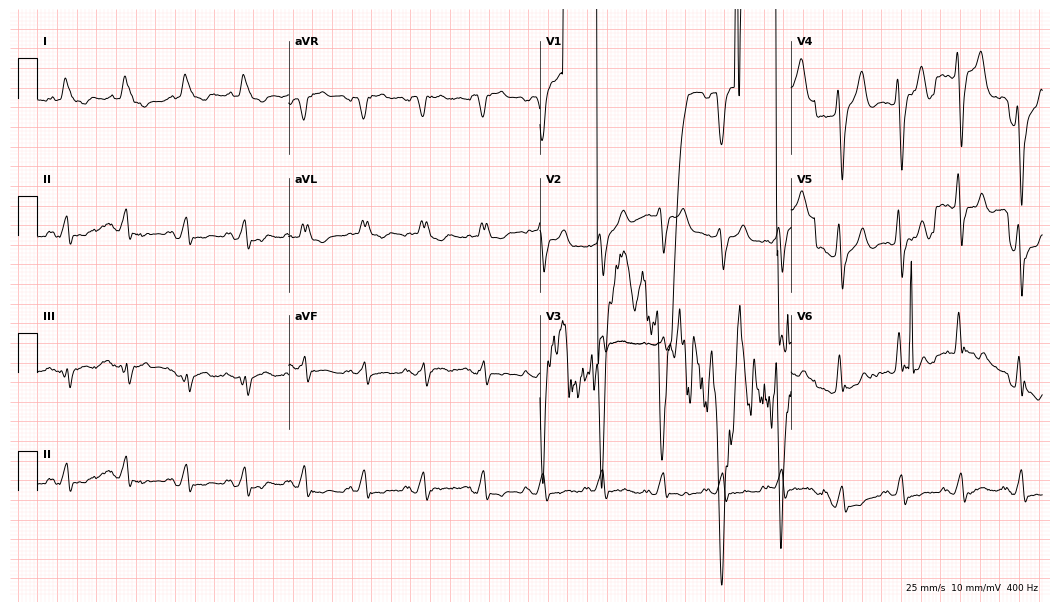
12-lead ECG from a female, 85 years old (10.2-second recording at 400 Hz). No first-degree AV block, right bundle branch block (RBBB), left bundle branch block (LBBB), sinus bradycardia, atrial fibrillation (AF) or sinus tachycardia recorded for this tracing. Other findings, if any, are not listed.